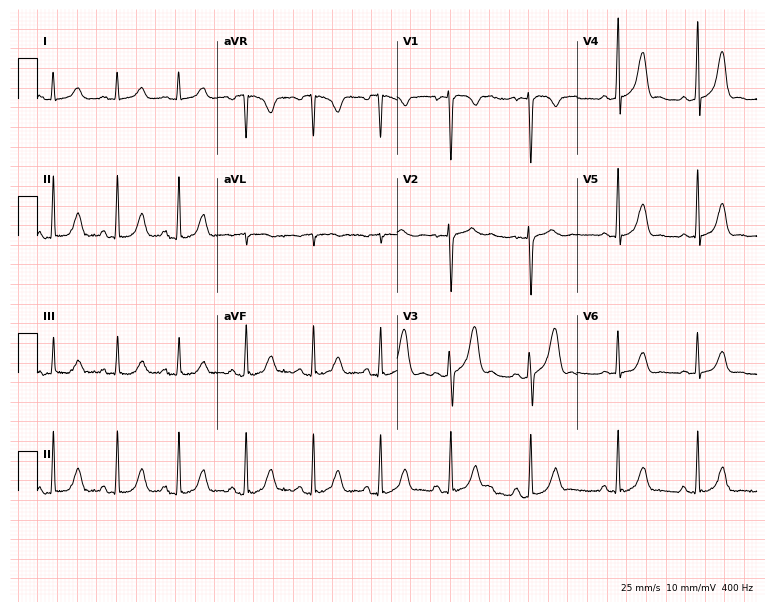
Electrocardiogram (7.3-second recording at 400 Hz), a female, 27 years old. Of the six screened findings (first-degree AV block, right bundle branch block (RBBB), left bundle branch block (LBBB), sinus bradycardia, atrial fibrillation (AF), sinus tachycardia), none is recorded.